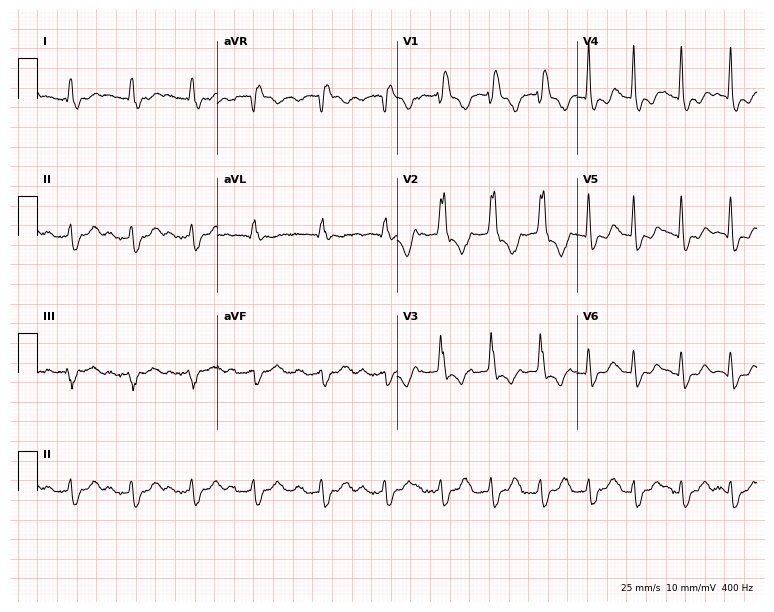
Electrocardiogram, a 48-year-old female. Interpretation includes right bundle branch block (RBBB), sinus tachycardia (a sinus rate of 100 beats per minute or more).